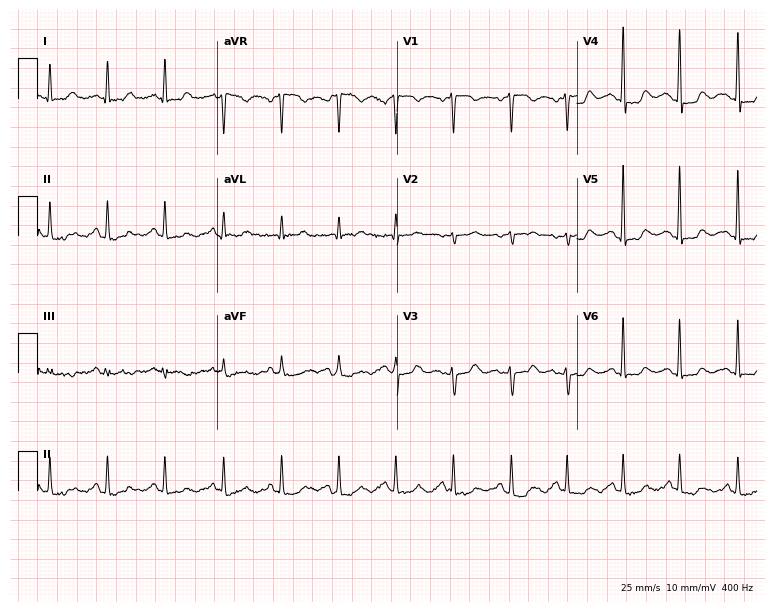
ECG (7.3-second recording at 400 Hz) — a 38-year-old female. Findings include sinus tachycardia (a sinus rate of 100 beats per minute or more).